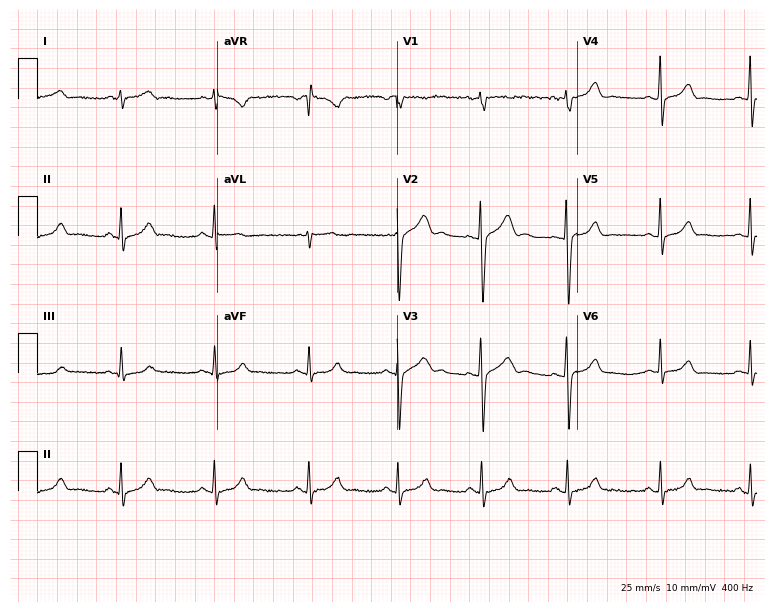
Standard 12-lead ECG recorded from a female patient, 26 years old (7.3-second recording at 400 Hz). None of these six findings is recorded: first-degree AV block, right bundle branch block, left bundle branch block, sinus bradycardia, atrial fibrillation, sinus tachycardia. Other findings, if any, are not listed.